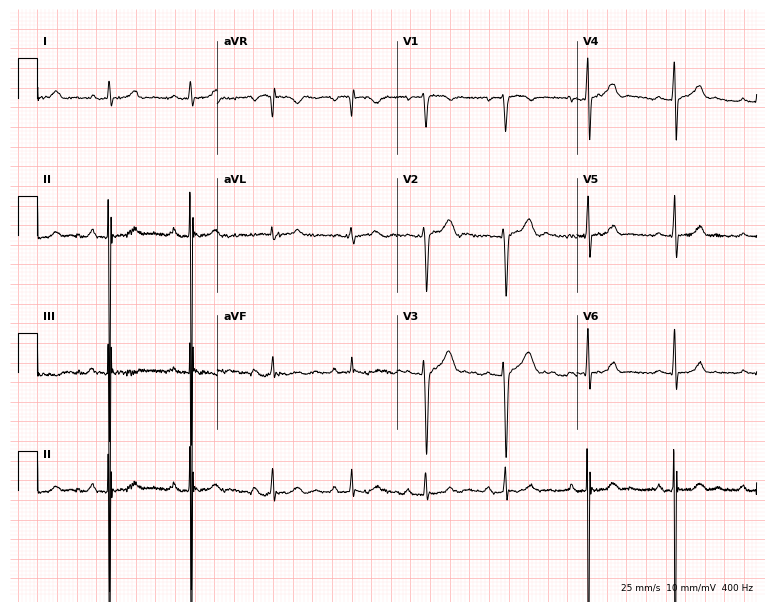
Electrocardiogram, a female, 21 years old. Of the six screened findings (first-degree AV block, right bundle branch block, left bundle branch block, sinus bradycardia, atrial fibrillation, sinus tachycardia), none is recorded.